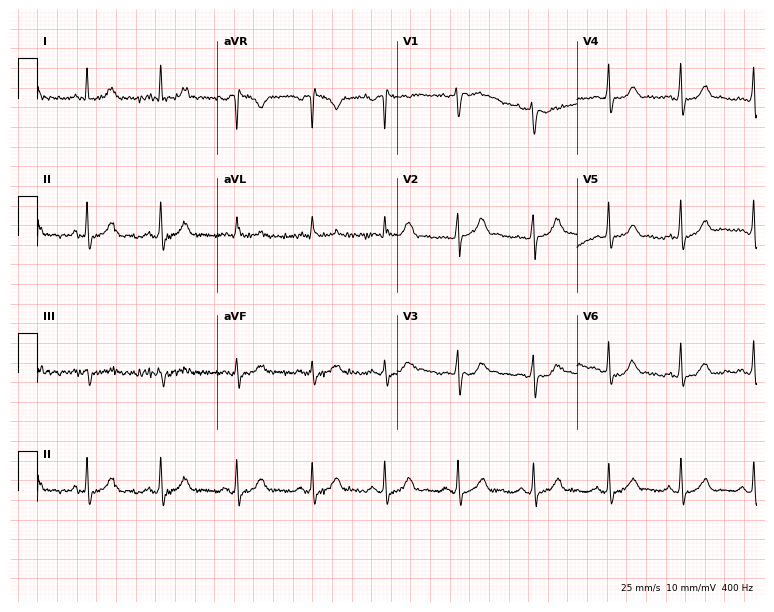
12-lead ECG from a 42-year-old female patient. Labelled as a normal ECG.